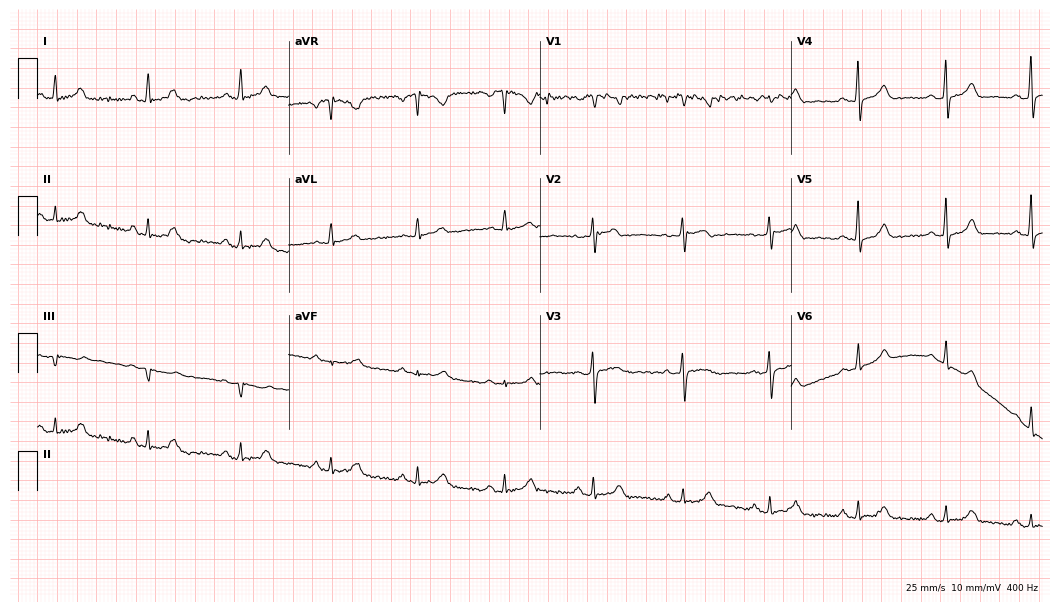
12-lead ECG from a female patient, 47 years old. Labelled as a normal ECG.